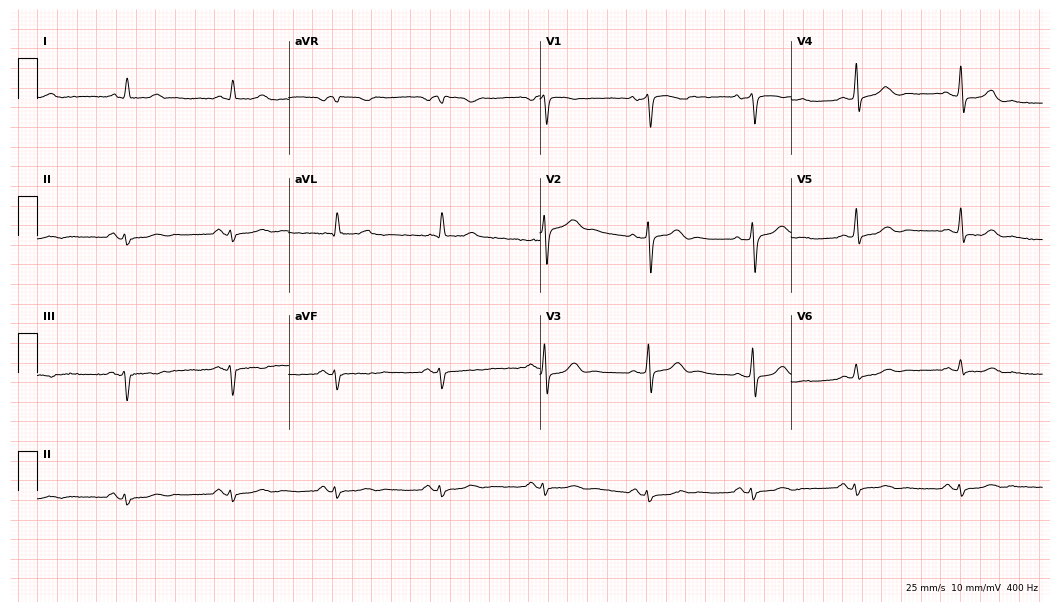
ECG — an 82-year-old male patient. Screened for six findings — first-degree AV block, right bundle branch block (RBBB), left bundle branch block (LBBB), sinus bradycardia, atrial fibrillation (AF), sinus tachycardia — none is recorded.